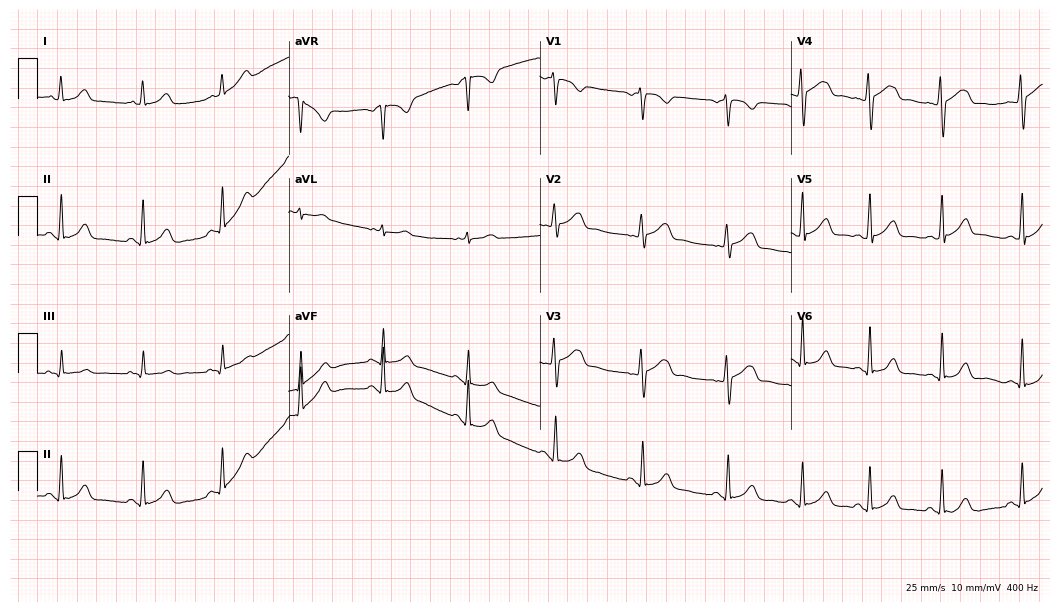
12-lead ECG from a 30-year-old female patient. Labelled as a normal ECG.